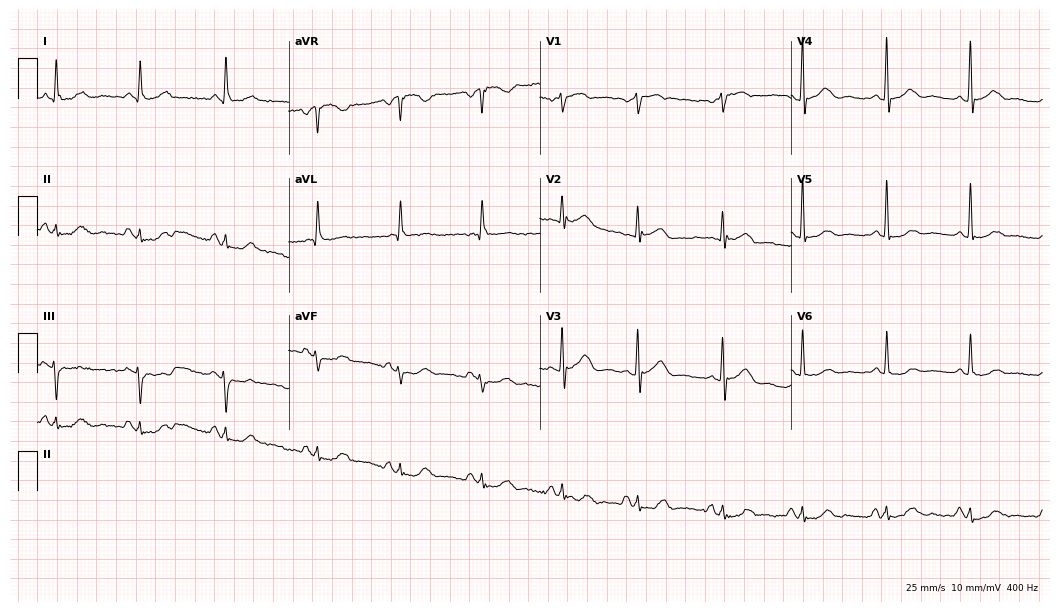
Standard 12-lead ECG recorded from a female patient, 74 years old (10.2-second recording at 400 Hz). Read as a normal ECG.